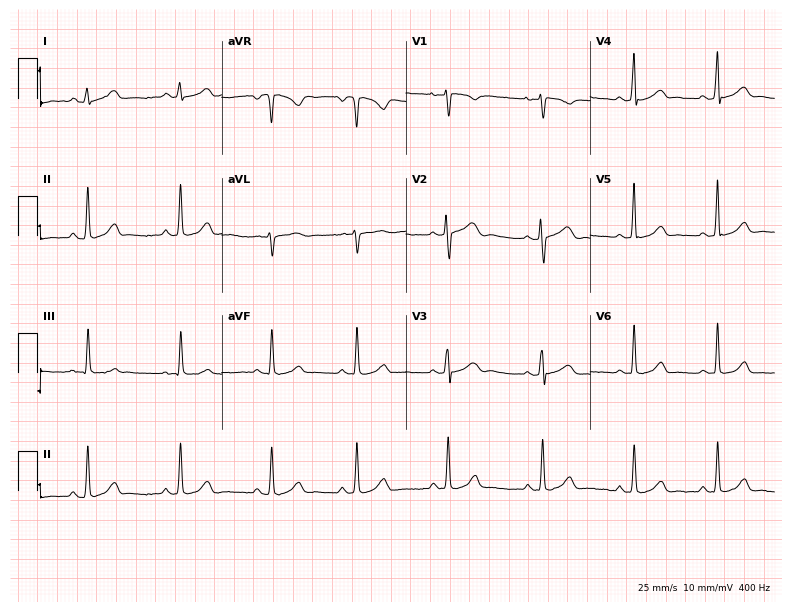
12-lead ECG from a female patient, 23 years old. Screened for six findings — first-degree AV block, right bundle branch block, left bundle branch block, sinus bradycardia, atrial fibrillation, sinus tachycardia — none is recorded. Only these six findings were labelled.